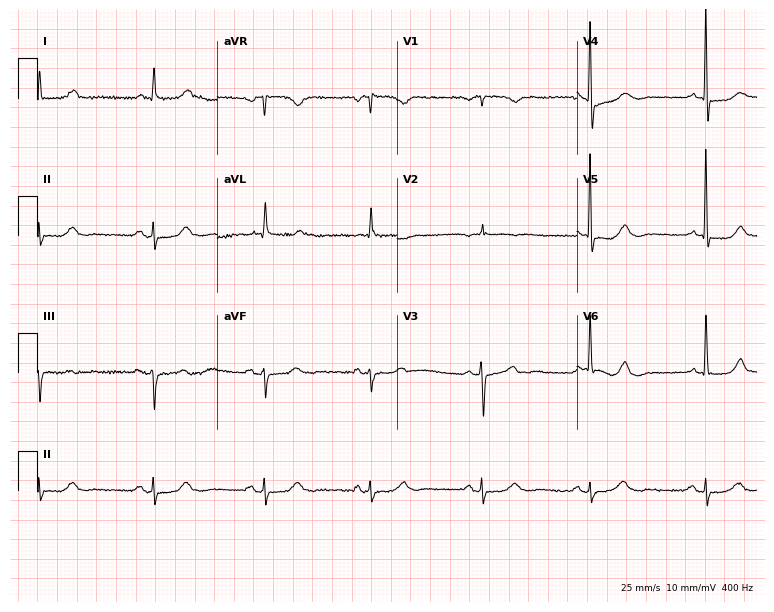
Resting 12-lead electrocardiogram (7.3-second recording at 400 Hz). Patient: a 67-year-old female. Read as a normal ECG.